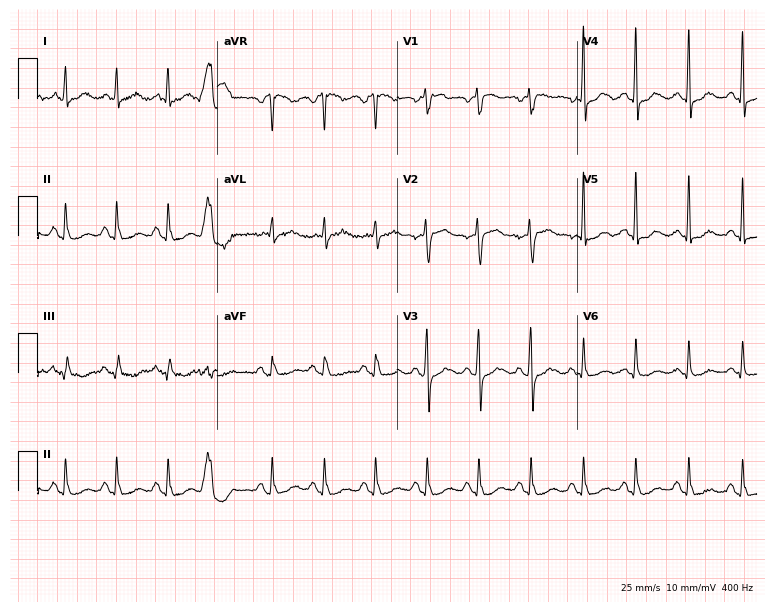
12-lead ECG from a 65-year-old woman (7.3-second recording at 400 Hz). Shows sinus tachycardia (a sinus rate of 100 beats per minute or more).